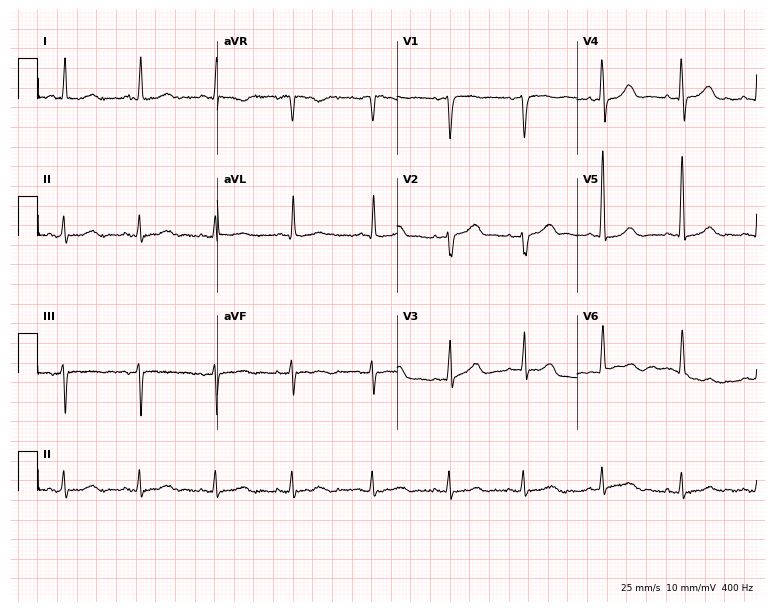
Electrocardiogram (7.3-second recording at 400 Hz), a female, 83 years old. Of the six screened findings (first-degree AV block, right bundle branch block (RBBB), left bundle branch block (LBBB), sinus bradycardia, atrial fibrillation (AF), sinus tachycardia), none is recorded.